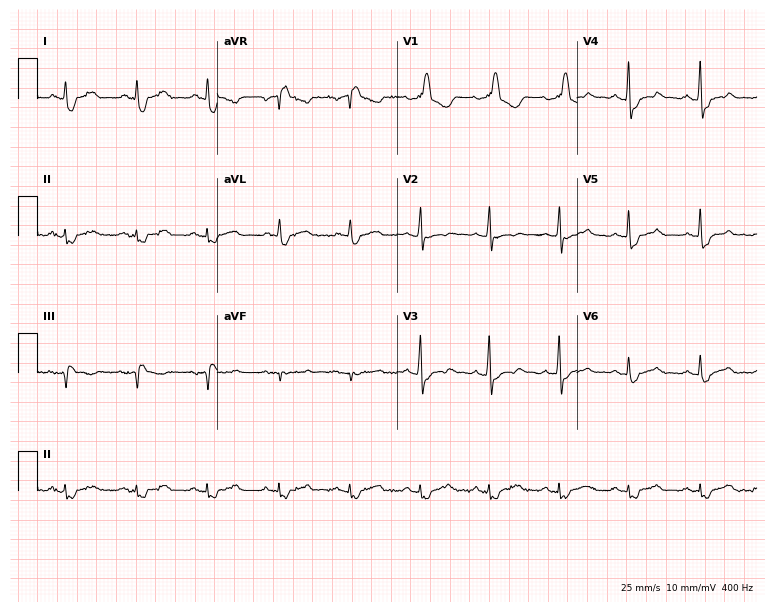
Standard 12-lead ECG recorded from a 61-year-old male (7.3-second recording at 400 Hz). The tracing shows right bundle branch block (RBBB).